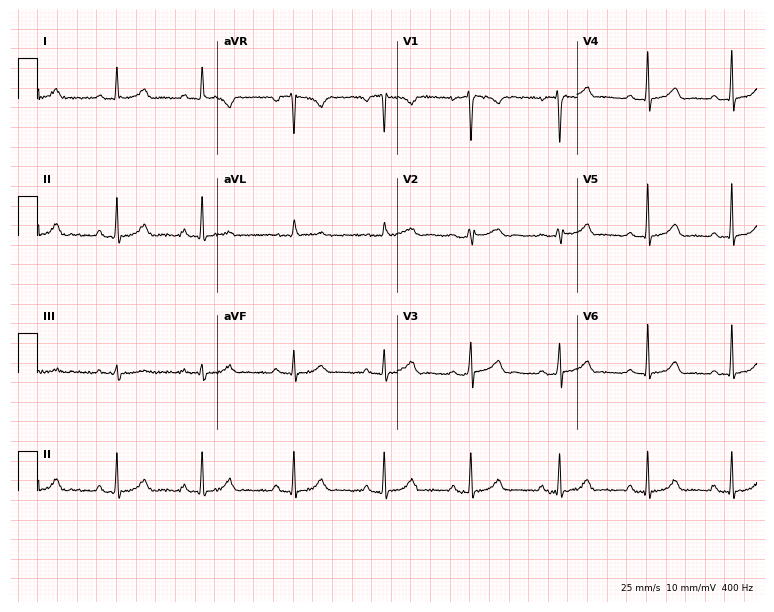
12-lead ECG from a female patient, 32 years old. Labelled as a normal ECG.